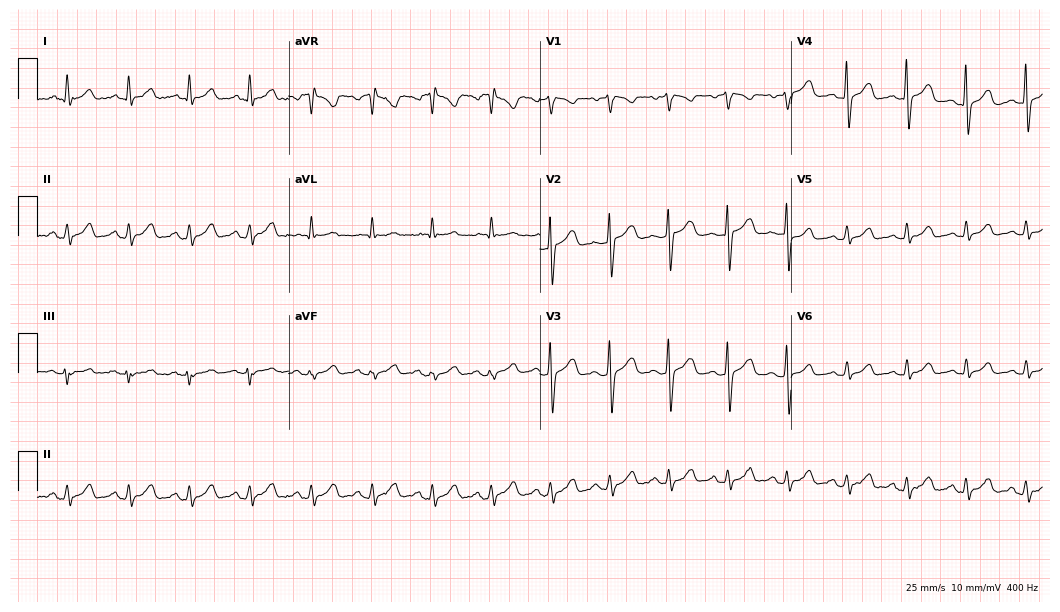
12-lead ECG (10.2-second recording at 400 Hz) from a 47-year-old man. Labelled as a normal ECG.